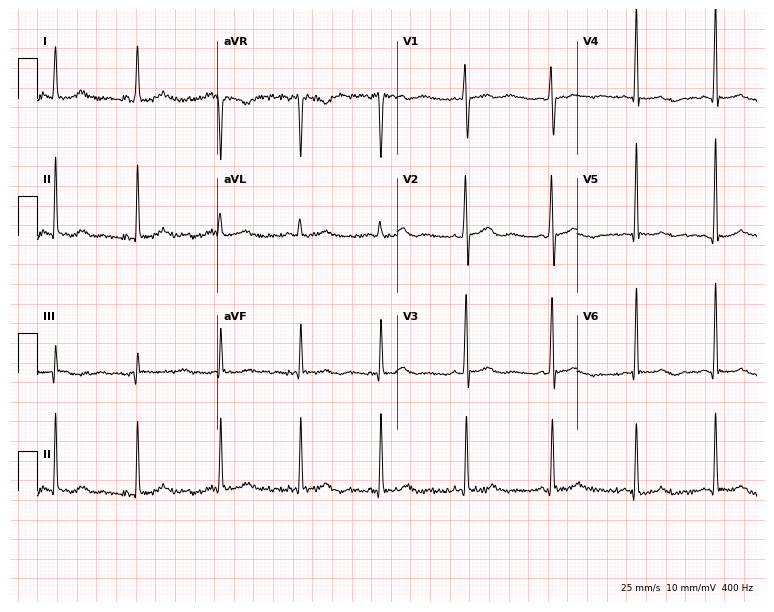
Standard 12-lead ECG recorded from a woman, 35 years old (7.3-second recording at 400 Hz). None of these six findings is recorded: first-degree AV block, right bundle branch block, left bundle branch block, sinus bradycardia, atrial fibrillation, sinus tachycardia. Other findings, if any, are not listed.